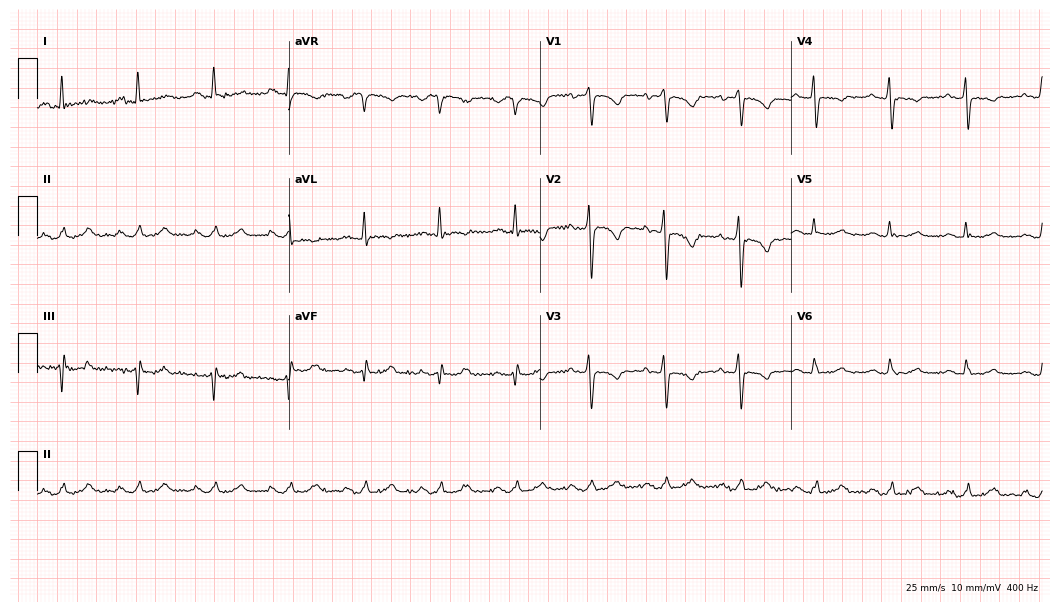
Electrocardiogram, a female patient, 68 years old. Of the six screened findings (first-degree AV block, right bundle branch block, left bundle branch block, sinus bradycardia, atrial fibrillation, sinus tachycardia), none is recorded.